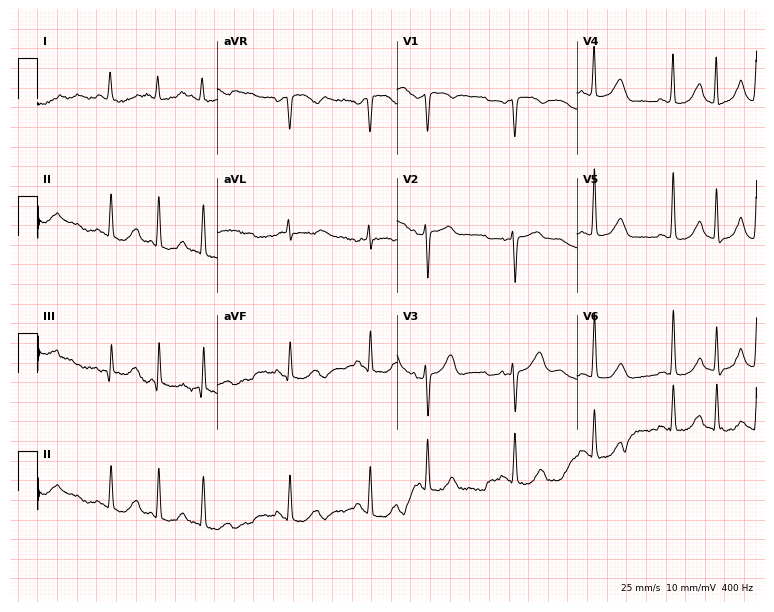
Electrocardiogram (7.3-second recording at 400 Hz), a male, 65 years old. Of the six screened findings (first-degree AV block, right bundle branch block, left bundle branch block, sinus bradycardia, atrial fibrillation, sinus tachycardia), none is recorded. Other findings, if any, are not listed.